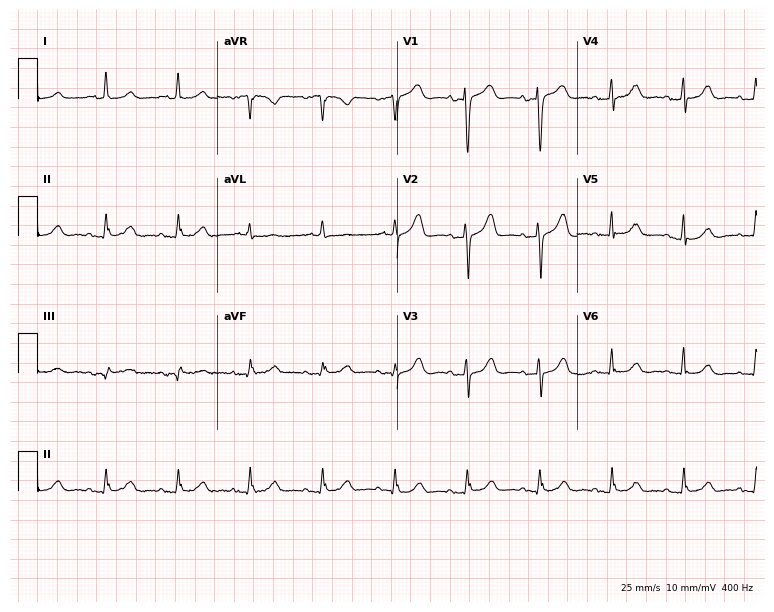
Standard 12-lead ECG recorded from a woman, 81 years old (7.3-second recording at 400 Hz). Read as a normal ECG.